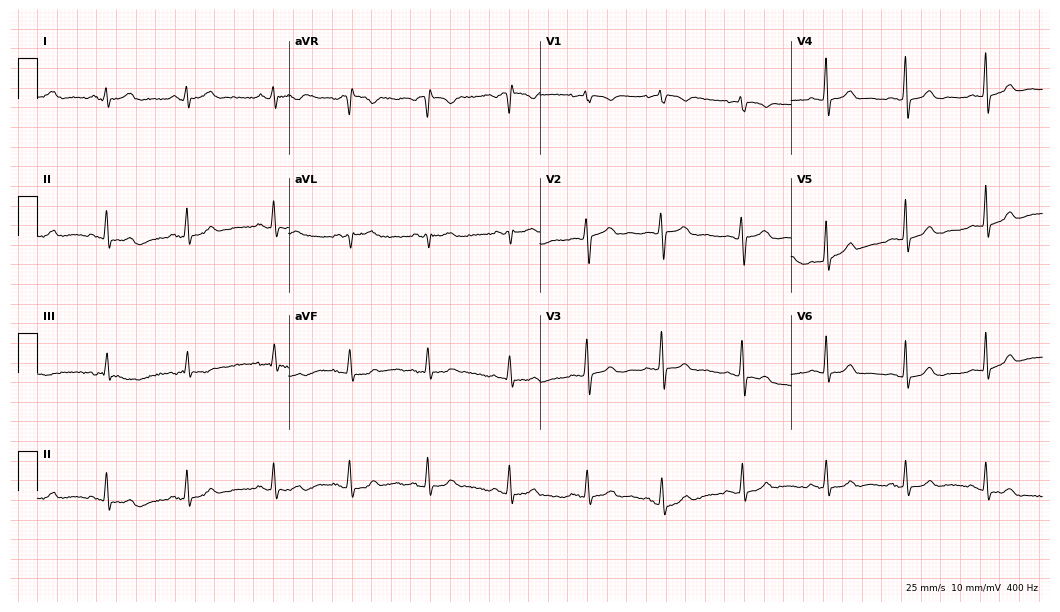
Standard 12-lead ECG recorded from a 28-year-old female (10.2-second recording at 400 Hz). Read as a normal ECG.